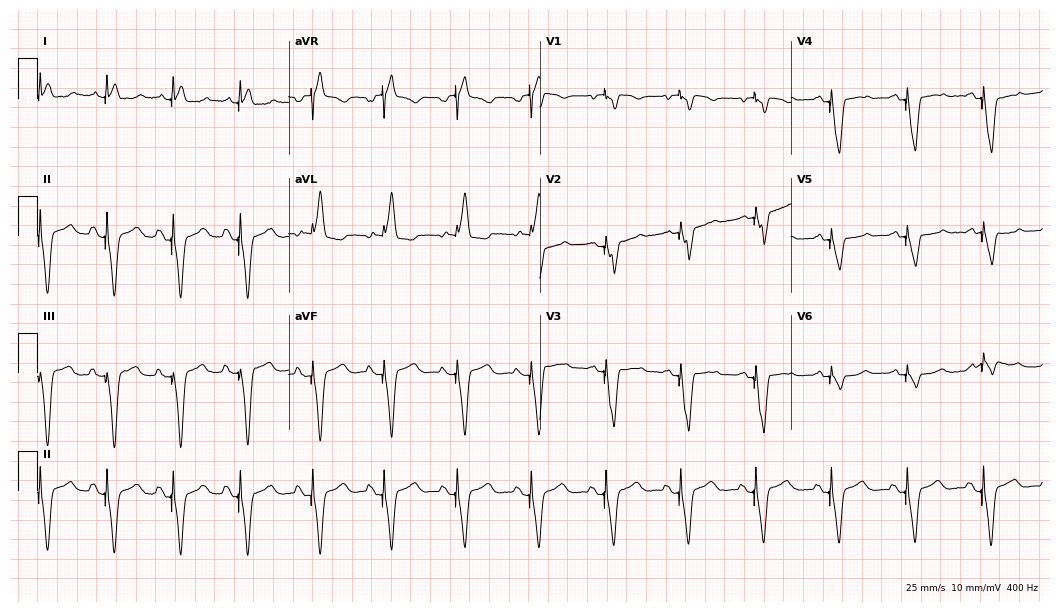
12-lead ECG from a male, 54 years old. No first-degree AV block, right bundle branch block (RBBB), left bundle branch block (LBBB), sinus bradycardia, atrial fibrillation (AF) or sinus tachycardia recorded for this tracing. Other findings, if any, are not listed.